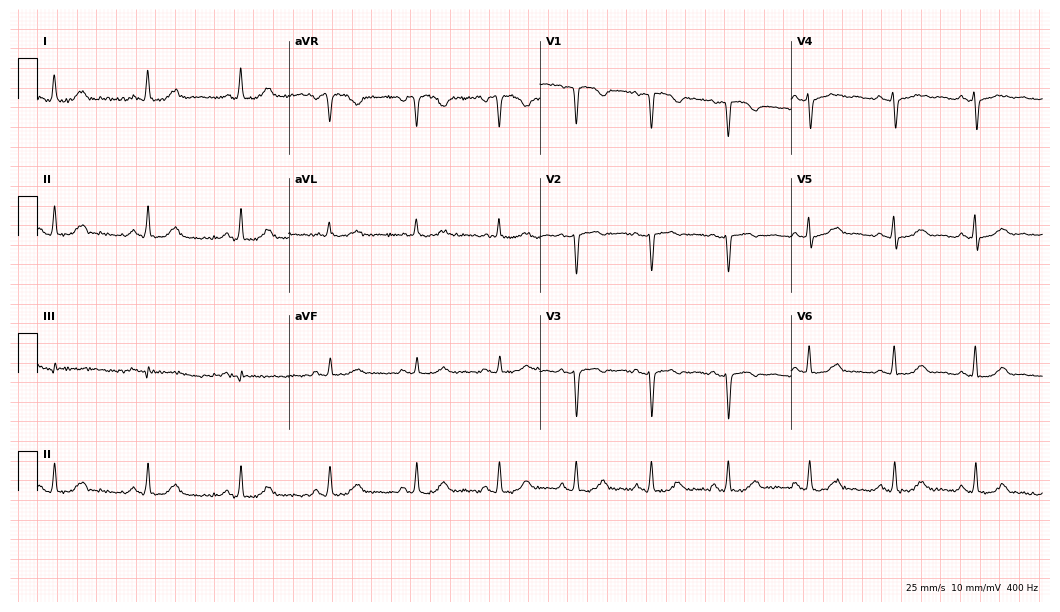
ECG — a woman, 30 years old. Labelled as a normal ECG.